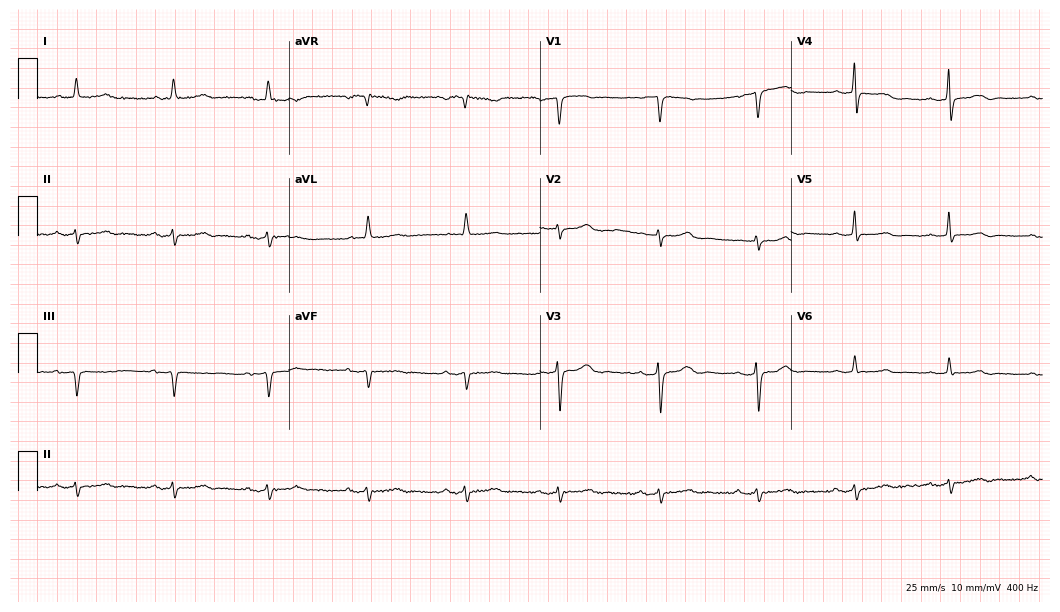
12-lead ECG (10.2-second recording at 400 Hz) from a male, 85 years old. Findings include first-degree AV block.